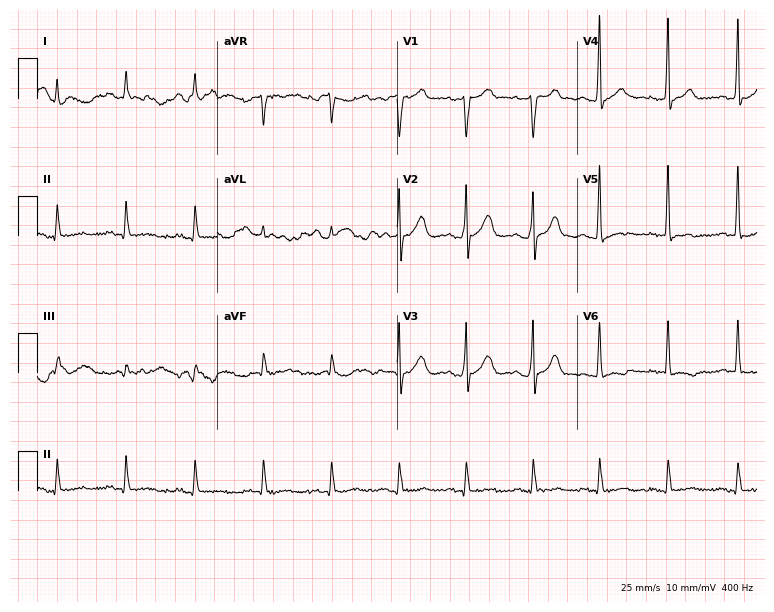
12-lead ECG from a 76-year-old male patient. Screened for six findings — first-degree AV block, right bundle branch block, left bundle branch block, sinus bradycardia, atrial fibrillation, sinus tachycardia — none is recorded. Other findings, if any, are not listed.